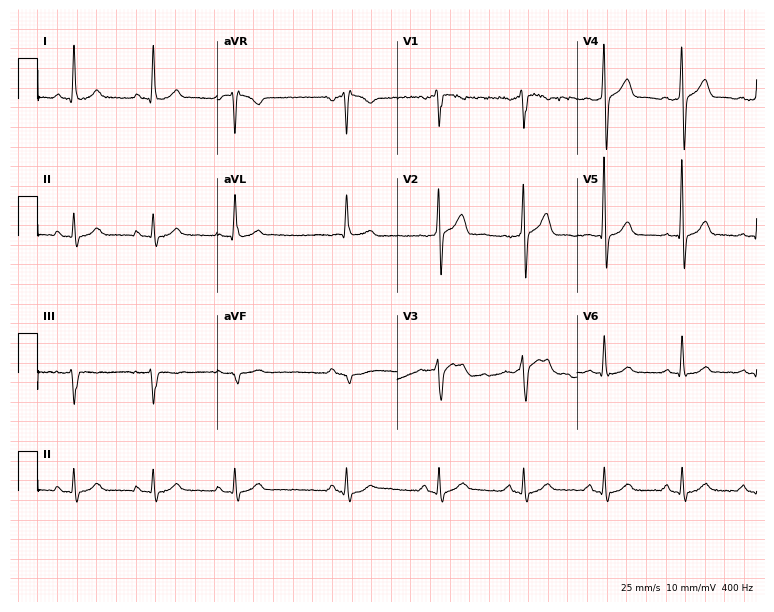
Resting 12-lead electrocardiogram. Patient: a 60-year-old man. Read as a normal ECG.